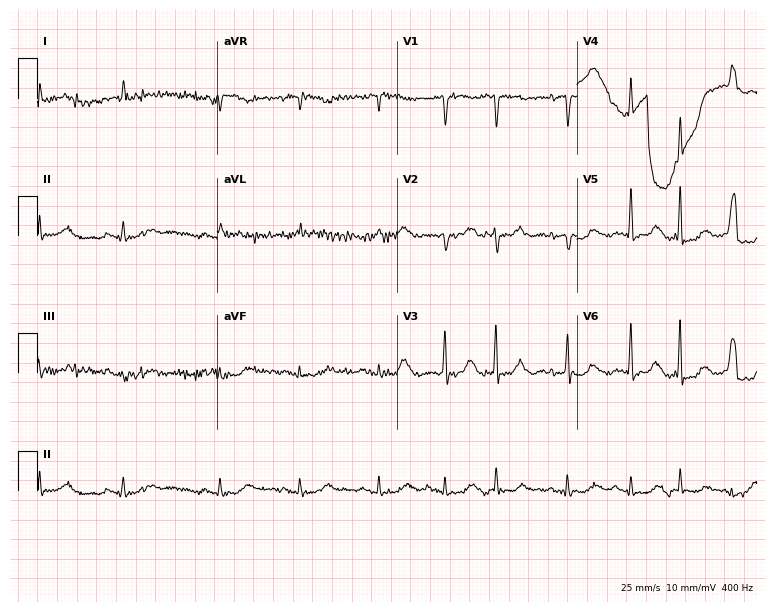
12-lead ECG from a female patient, 80 years old. Screened for six findings — first-degree AV block, right bundle branch block, left bundle branch block, sinus bradycardia, atrial fibrillation, sinus tachycardia — none is recorded. Other findings, if any, are not listed.